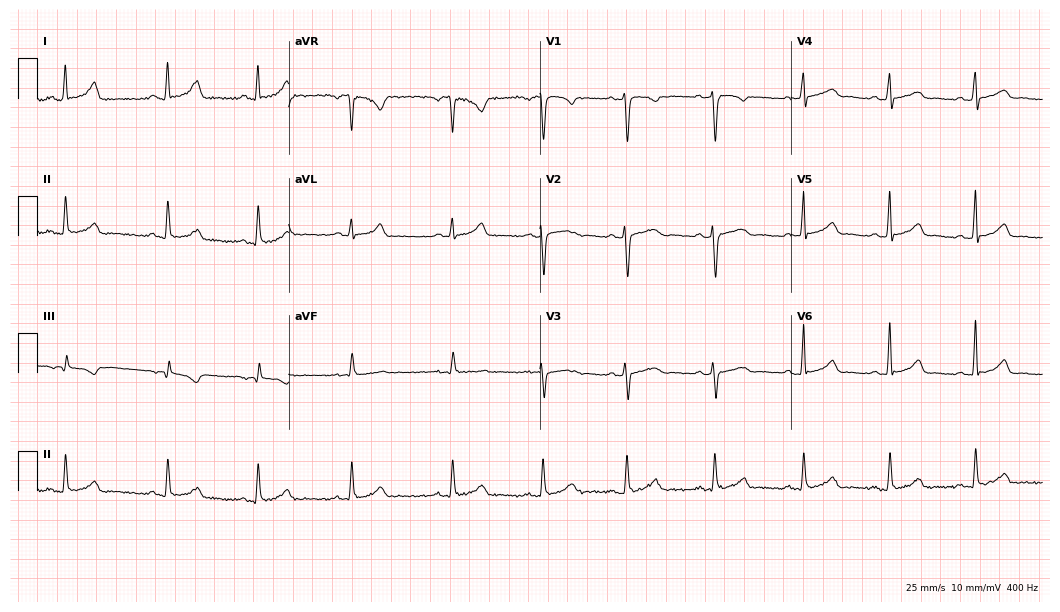
ECG — a female patient, 29 years old. Labelled as a normal ECG.